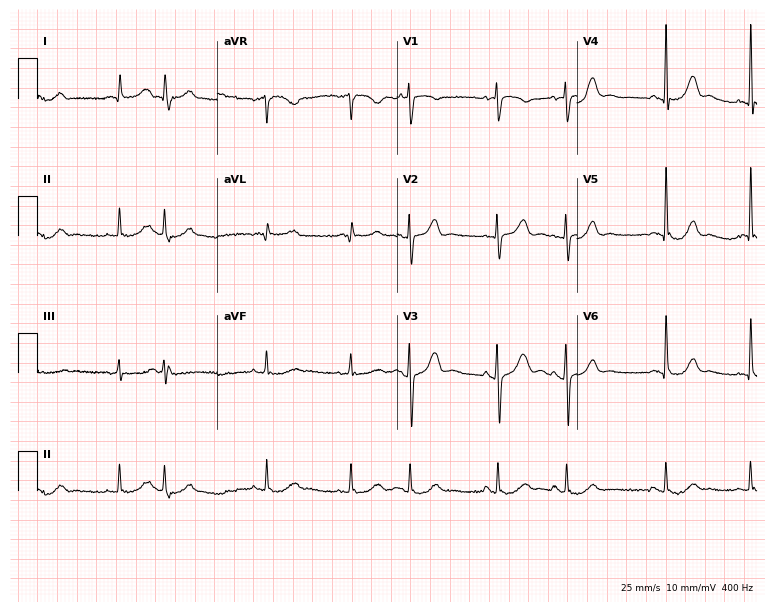
Electrocardiogram (7.3-second recording at 400 Hz), a male, 82 years old. Of the six screened findings (first-degree AV block, right bundle branch block (RBBB), left bundle branch block (LBBB), sinus bradycardia, atrial fibrillation (AF), sinus tachycardia), none is recorded.